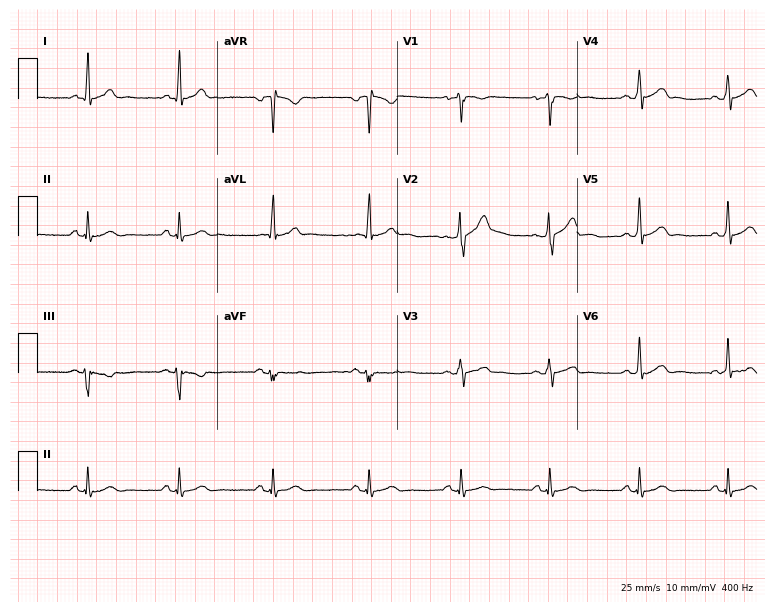
12-lead ECG (7.3-second recording at 400 Hz) from a 38-year-old male patient. Labelled as a normal ECG.